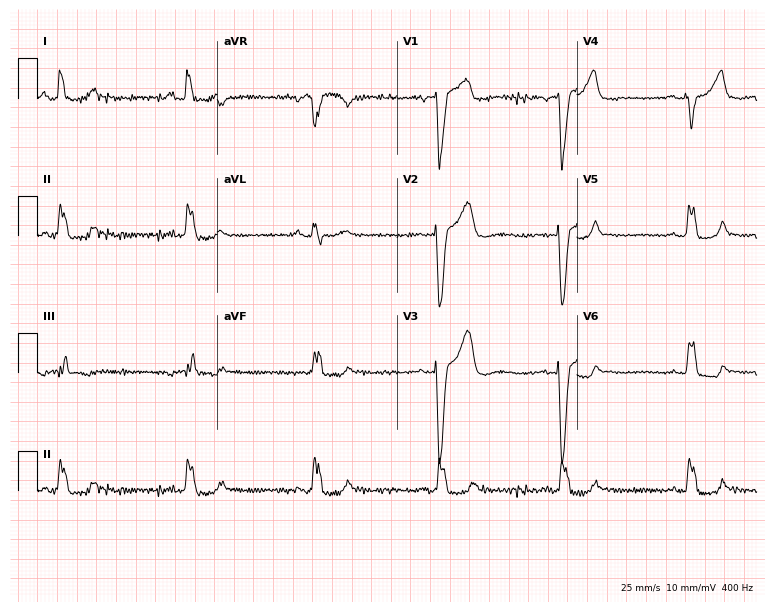
Resting 12-lead electrocardiogram (7.3-second recording at 400 Hz). Patient: a 71-year-old female. The tracing shows right bundle branch block (RBBB), left bundle branch block (LBBB).